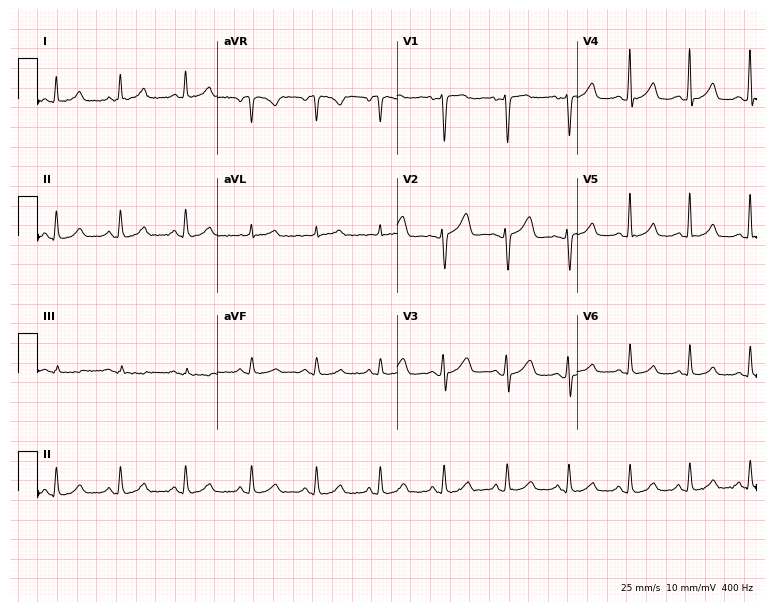
ECG (7.3-second recording at 400 Hz) — a 46-year-old woman. Screened for six findings — first-degree AV block, right bundle branch block, left bundle branch block, sinus bradycardia, atrial fibrillation, sinus tachycardia — none is recorded.